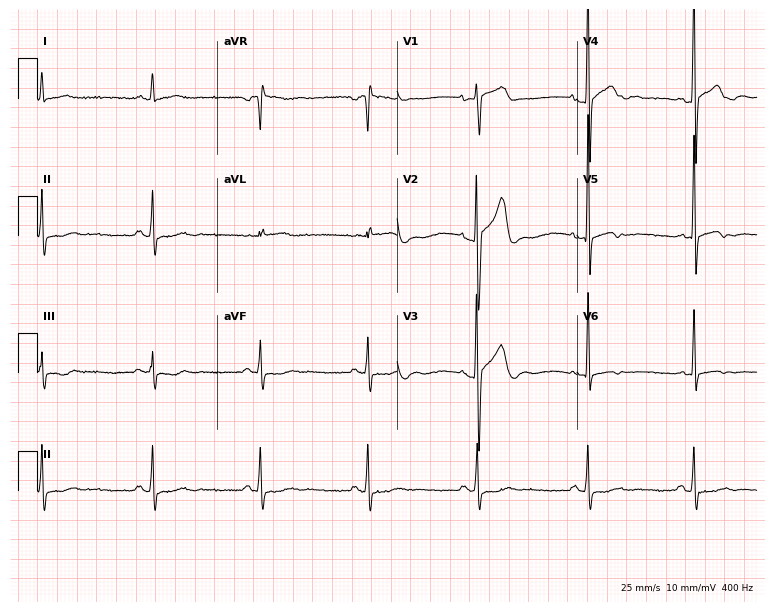
12-lead ECG from a male patient, 50 years old (7.3-second recording at 400 Hz). No first-degree AV block, right bundle branch block, left bundle branch block, sinus bradycardia, atrial fibrillation or sinus tachycardia recorded for this tracing. Other findings, if any, are not listed.